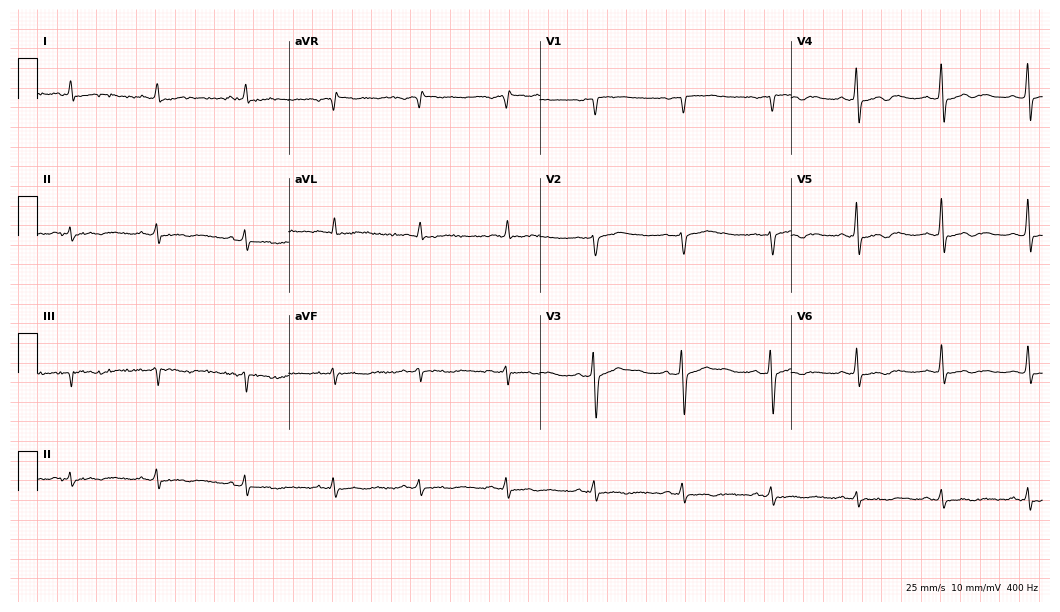
Standard 12-lead ECG recorded from a 55-year-old male patient (10.2-second recording at 400 Hz). None of these six findings is recorded: first-degree AV block, right bundle branch block, left bundle branch block, sinus bradycardia, atrial fibrillation, sinus tachycardia.